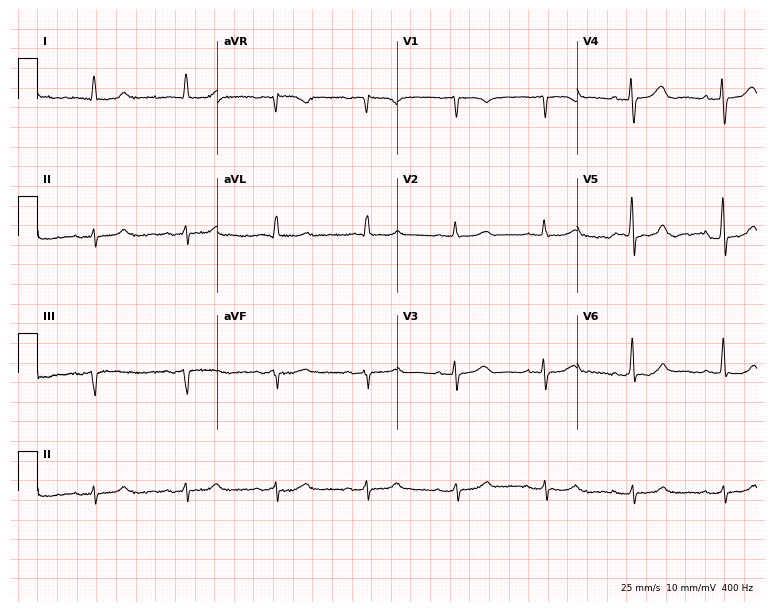
ECG (7.3-second recording at 400 Hz) — an 84-year-old male. Screened for six findings — first-degree AV block, right bundle branch block, left bundle branch block, sinus bradycardia, atrial fibrillation, sinus tachycardia — none is recorded.